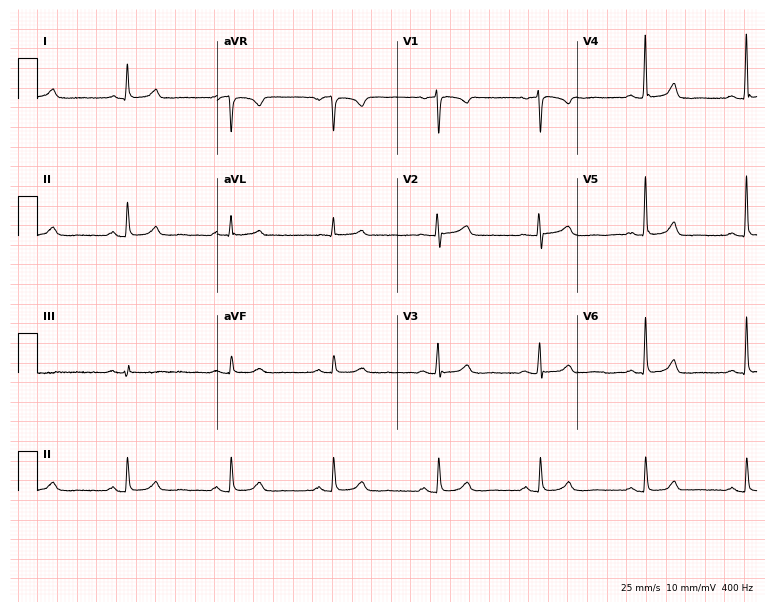
Resting 12-lead electrocardiogram (7.3-second recording at 400 Hz). Patient: a 60-year-old female. Read as a normal ECG.